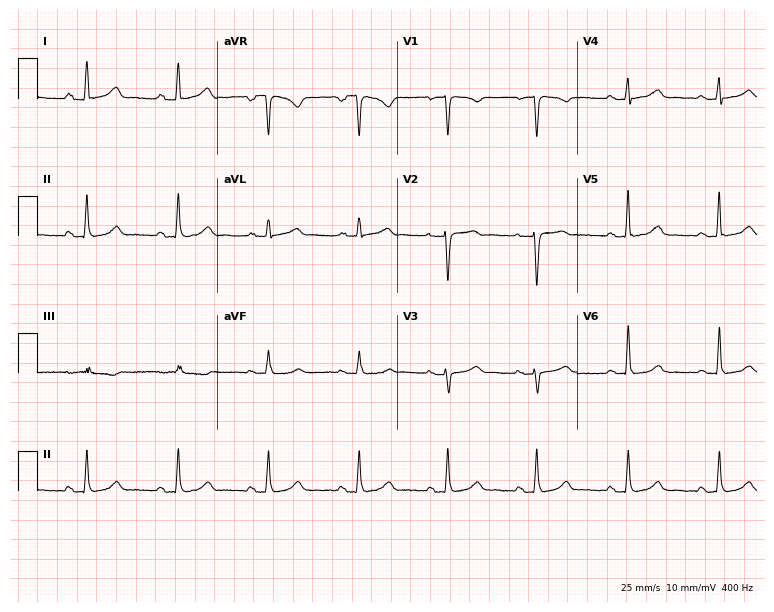
12-lead ECG from a woman, 49 years old (7.3-second recording at 400 Hz). Recorded interpretation: within normal limits.